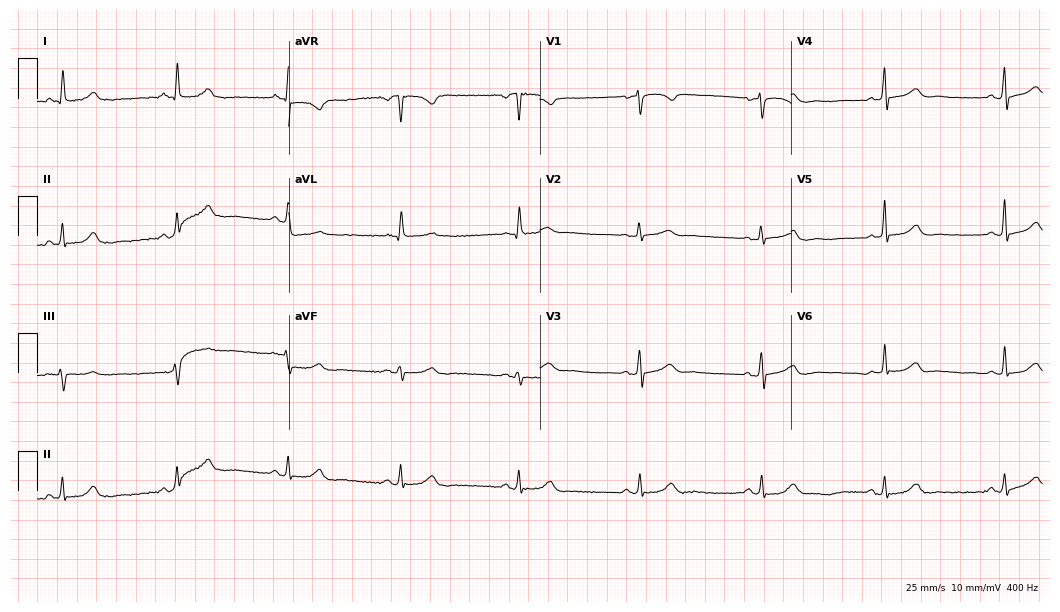
ECG (10.2-second recording at 400 Hz) — a female, 65 years old. Labelled as a normal ECG.